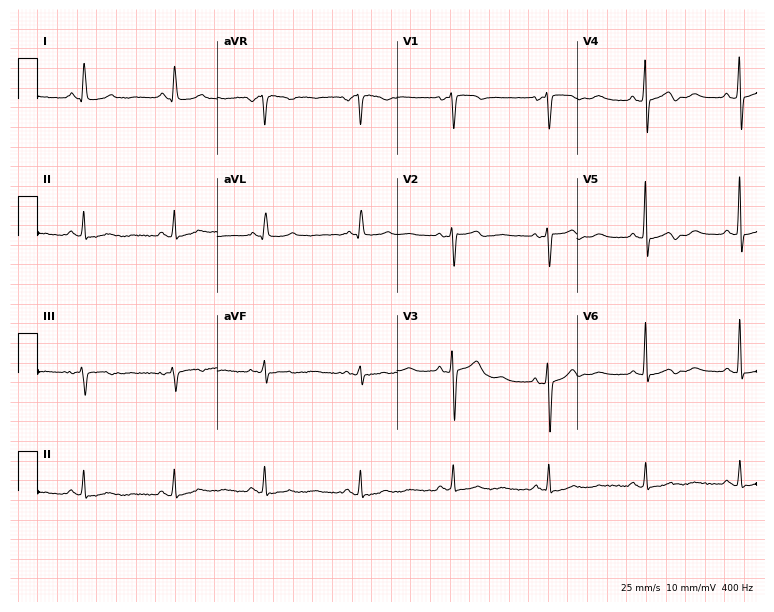
Standard 12-lead ECG recorded from a 60-year-old female patient (7.3-second recording at 400 Hz). None of these six findings is recorded: first-degree AV block, right bundle branch block (RBBB), left bundle branch block (LBBB), sinus bradycardia, atrial fibrillation (AF), sinus tachycardia.